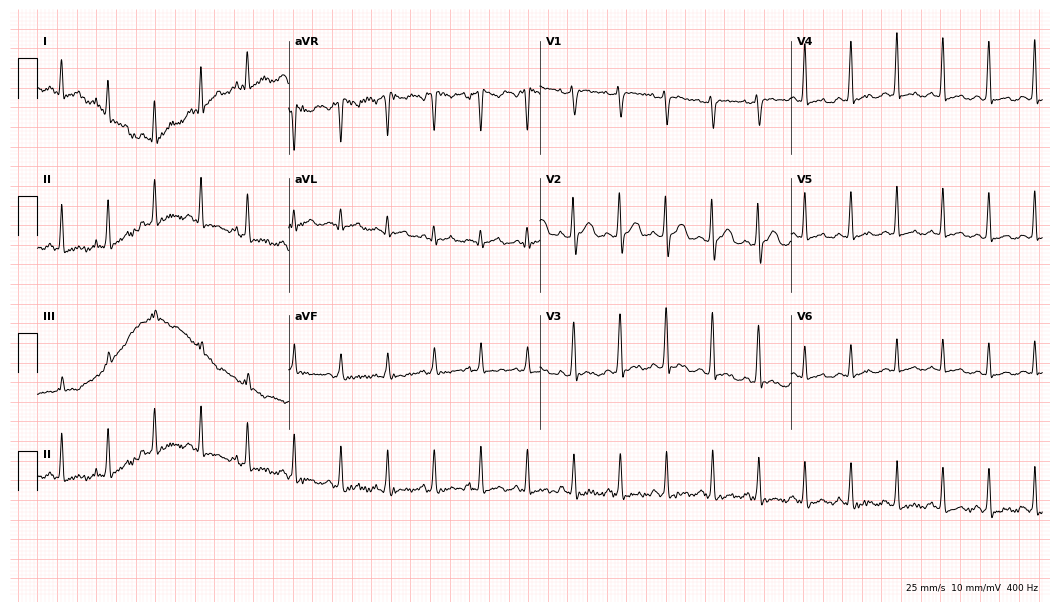
ECG (10.2-second recording at 400 Hz) — a female patient, 26 years old. Findings include sinus tachycardia (a sinus rate of 100 beats per minute or more).